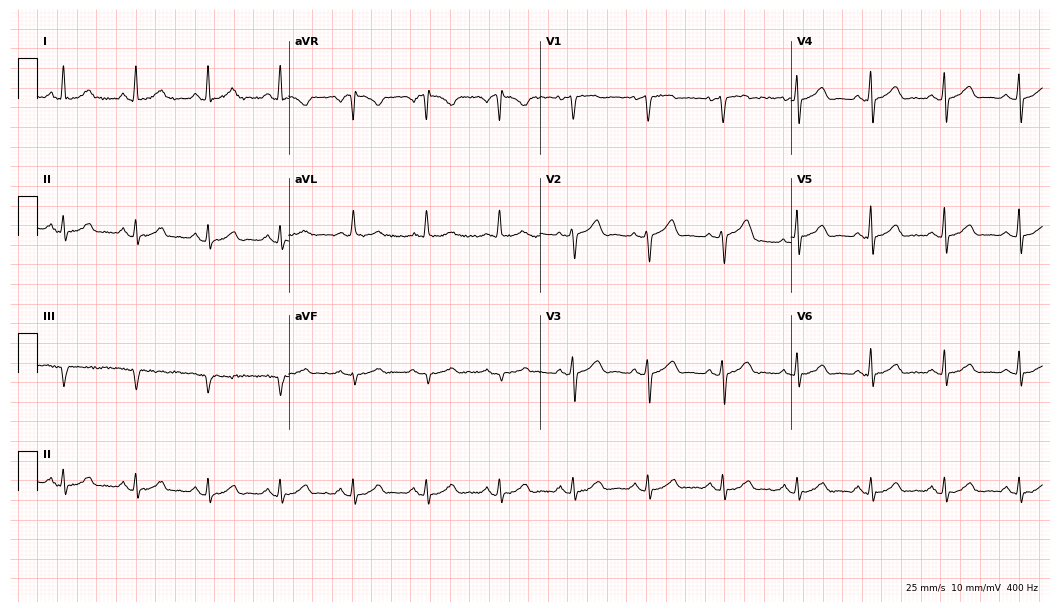
Electrocardiogram, a female patient, 59 years old. Overall reading on record: normal ECG.